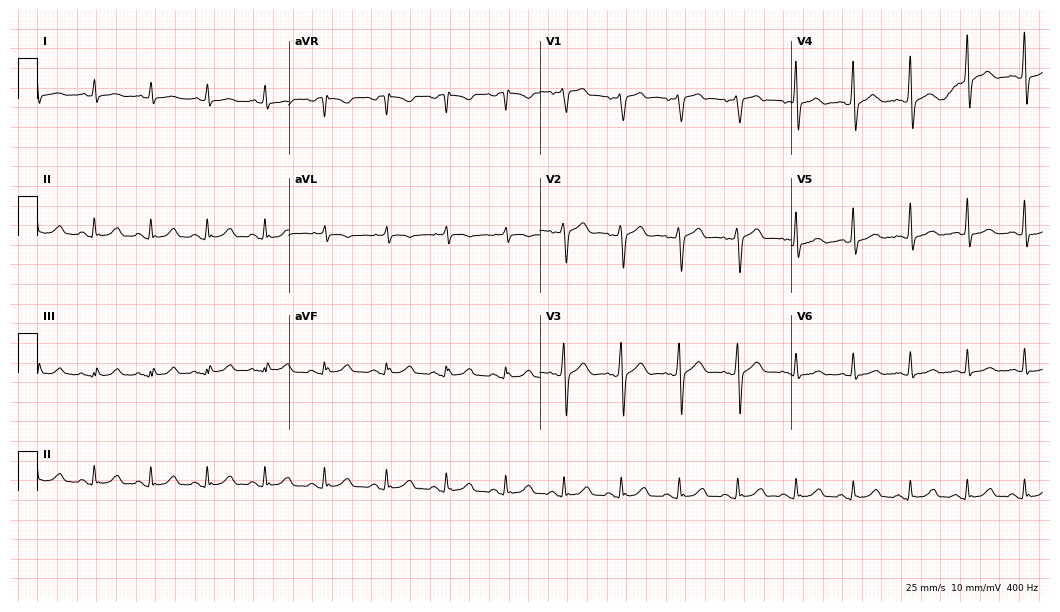
Standard 12-lead ECG recorded from a 47-year-old male. None of these six findings is recorded: first-degree AV block, right bundle branch block (RBBB), left bundle branch block (LBBB), sinus bradycardia, atrial fibrillation (AF), sinus tachycardia. Only these six findings were labelled.